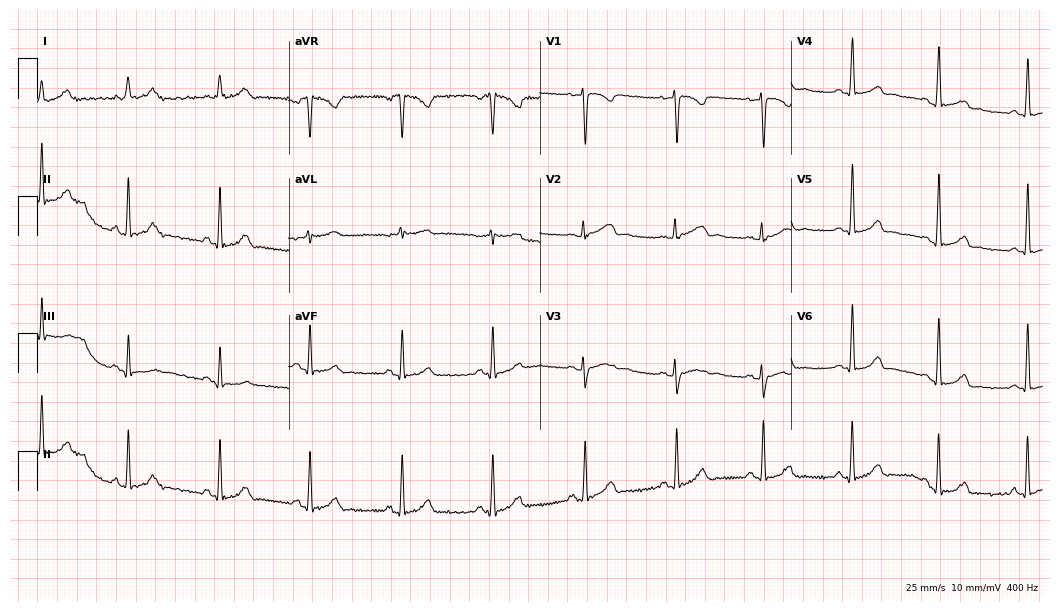
ECG (10.2-second recording at 400 Hz) — a female patient, 23 years old. Screened for six findings — first-degree AV block, right bundle branch block, left bundle branch block, sinus bradycardia, atrial fibrillation, sinus tachycardia — none is recorded. Only these six findings were labelled.